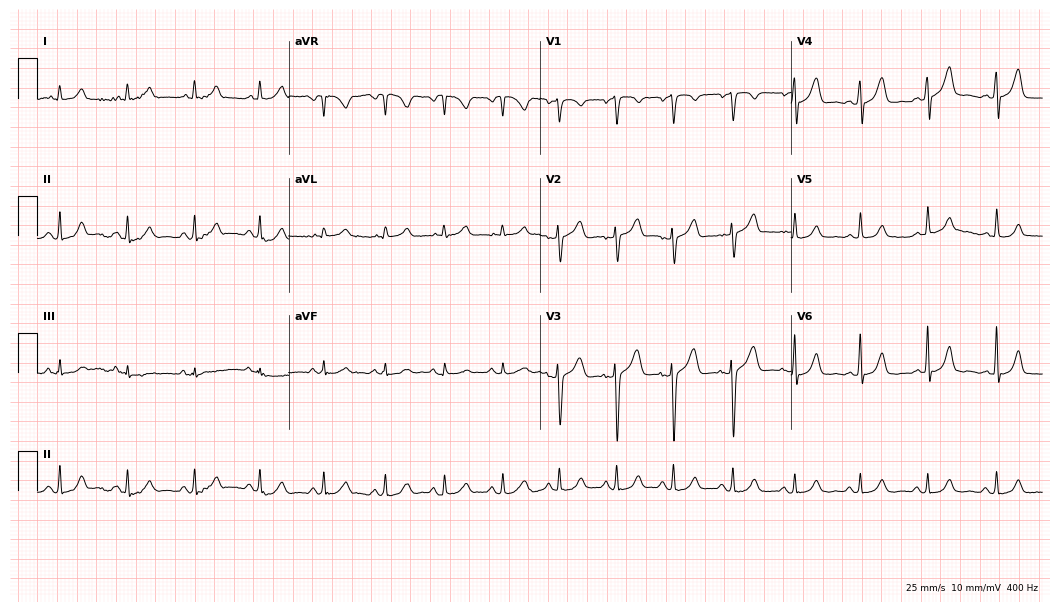
12-lead ECG from a female, 41 years old. No first-degree AV block, right bundle branch block, left bundle branch block, sinus bradycardia, atrial fibrillation or sinus tachycardia recorded for this tracing. Other findings, if any, are not listed.